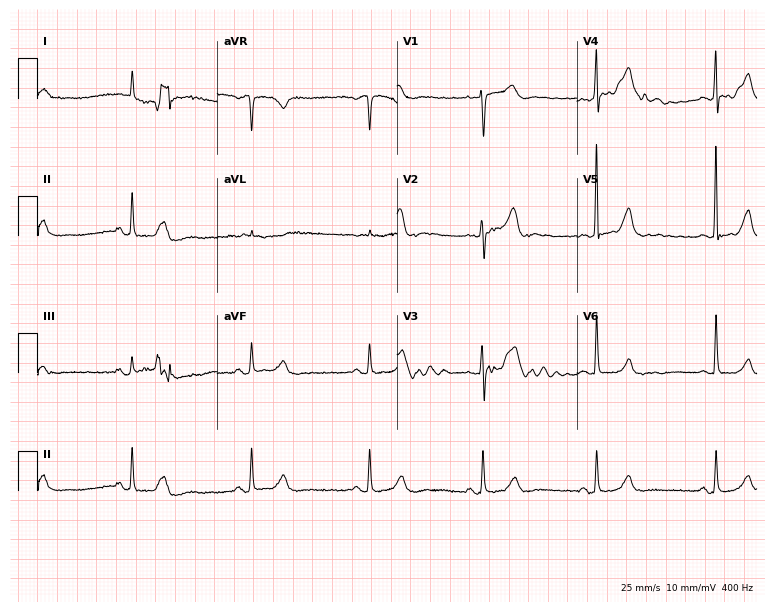
12-lead ECG from a woman, 79 years old. Recorded interpretation: within normal limits.